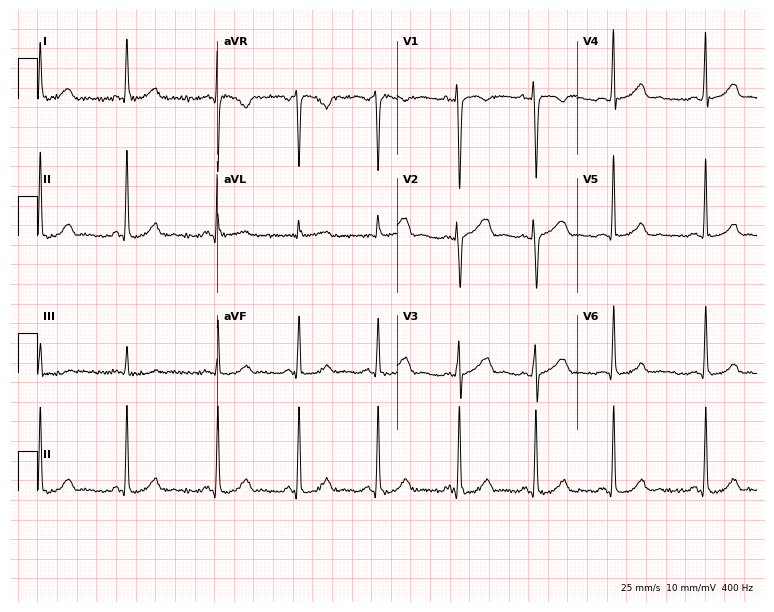
Standard 12-lead ECG recorded from a female, 22 years old (7.3-second recording at 400 Hz). Read as a normal ECG.